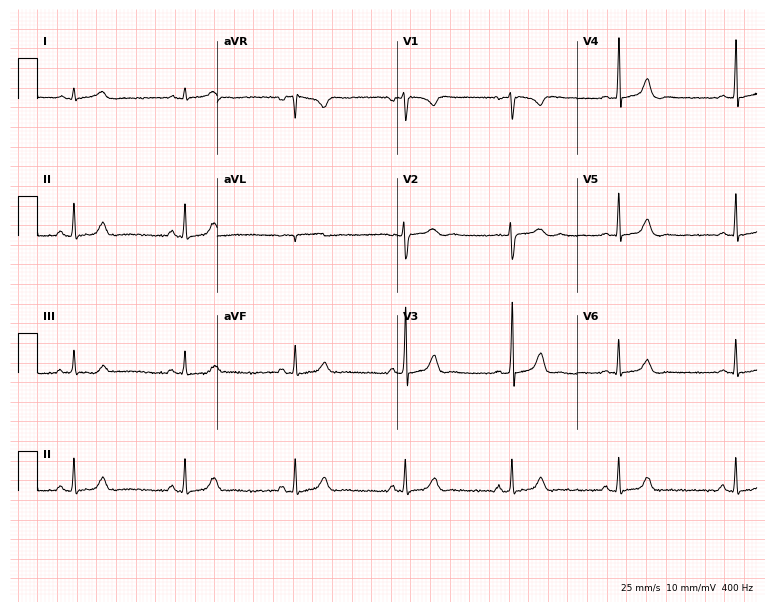
Electrocardiogram (7.3-second recording at 400 Hz), a female patient, 21 years old. Overall reading on record: normal ECG.